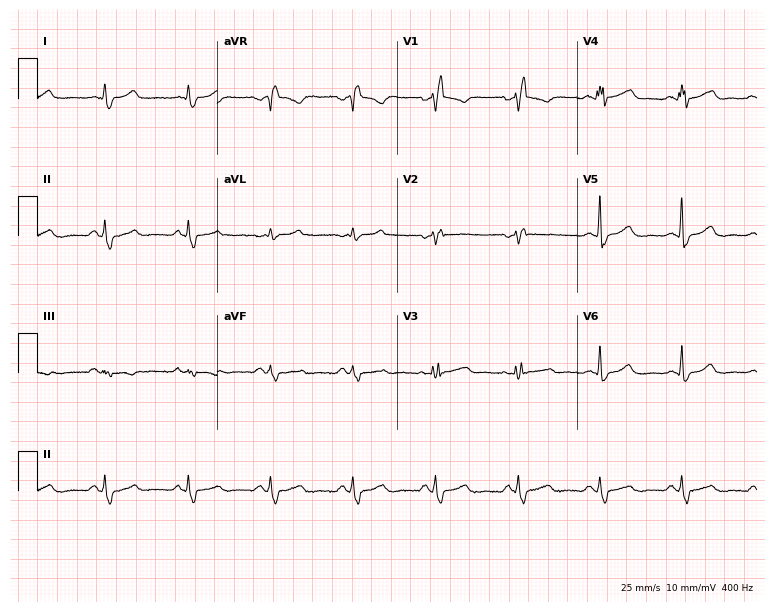
Electrocardiogram (7.3-second recording at 400 Hz), a woman, 48 years old. Interpretation includes right bundle branch block.